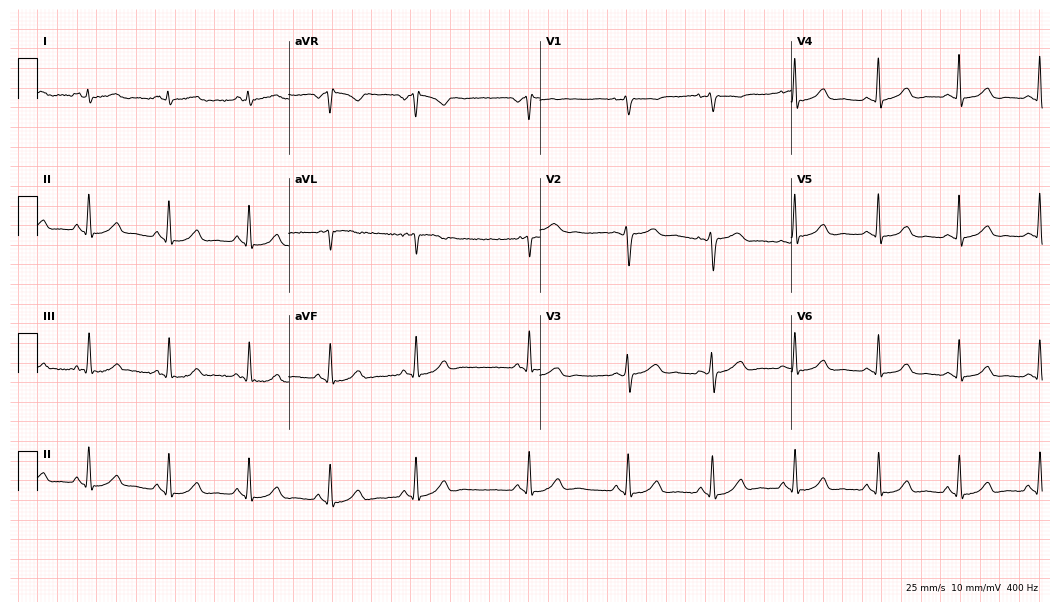
ECG — a 52-year-old female. Screened for six findings — first-degree AV block, right bundle branch block, left bundle branch block, sinus bradycardia, atrial fibrillation, sinus tachycardia — none is recorded.